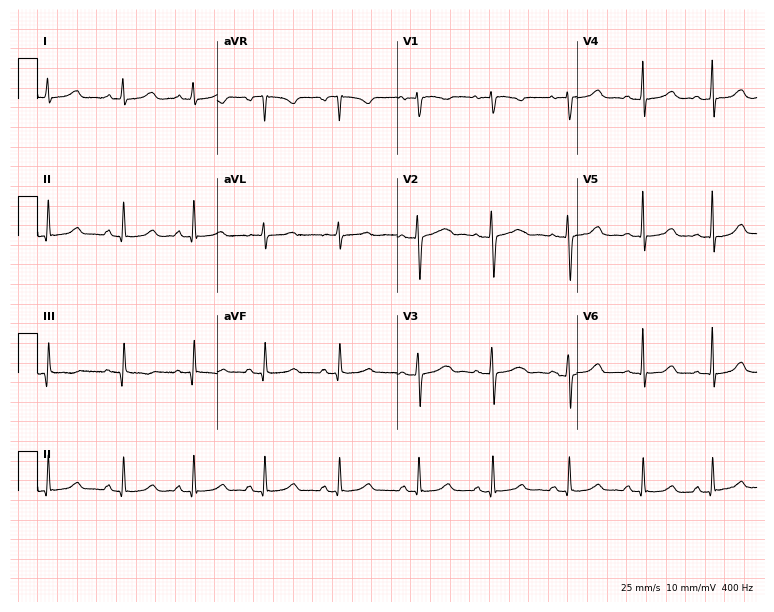
Electrocardiogram, a 31-year-old female patient. Of the six screened findings (first-degree AV block, right bundle branch block (RBBB), left bundle branch block (LBBB), sinus bradycardia, atrial fibrillation (AF), sinus tachycardia), none is recorded. Other findings, if any, are not listed.